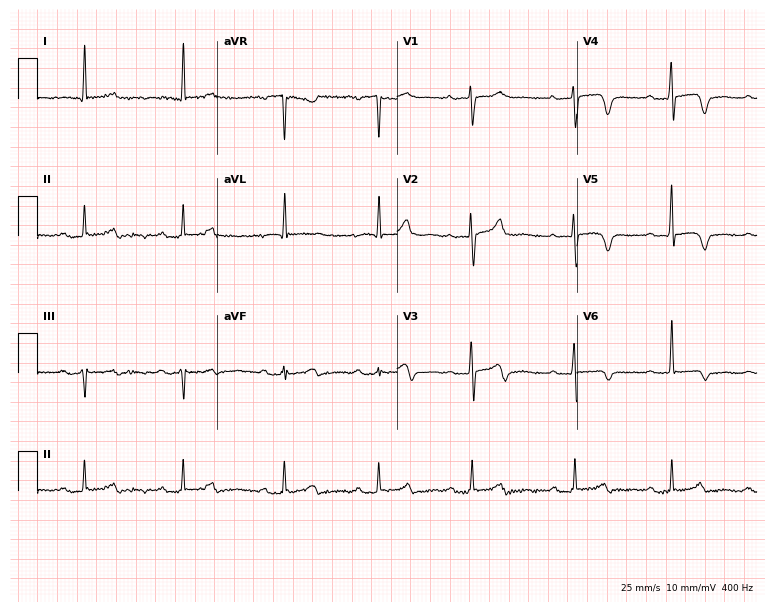
Electrocardiogram (7.3-second recording at 400 Hz), a female, 80 years old. Interpretation includes first-degree AV block.